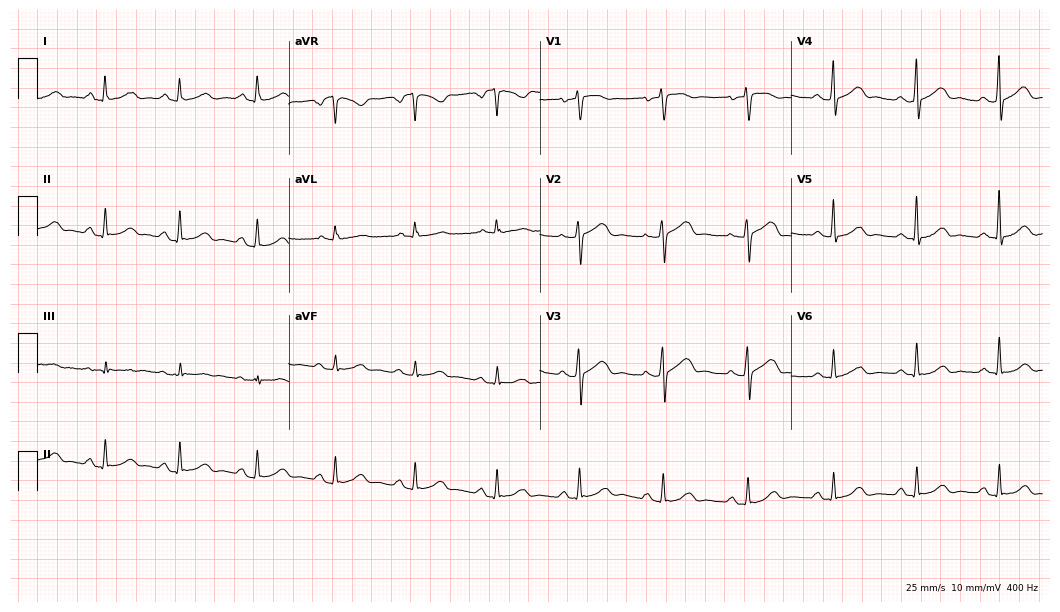
ECG — a 59-year-old female. Screened for six findings — first-degree AV block, right bundle branch block, left bundle branch block, sinus bradycardia, atrial fibrillation, sinus tachycardia — none is recorded.